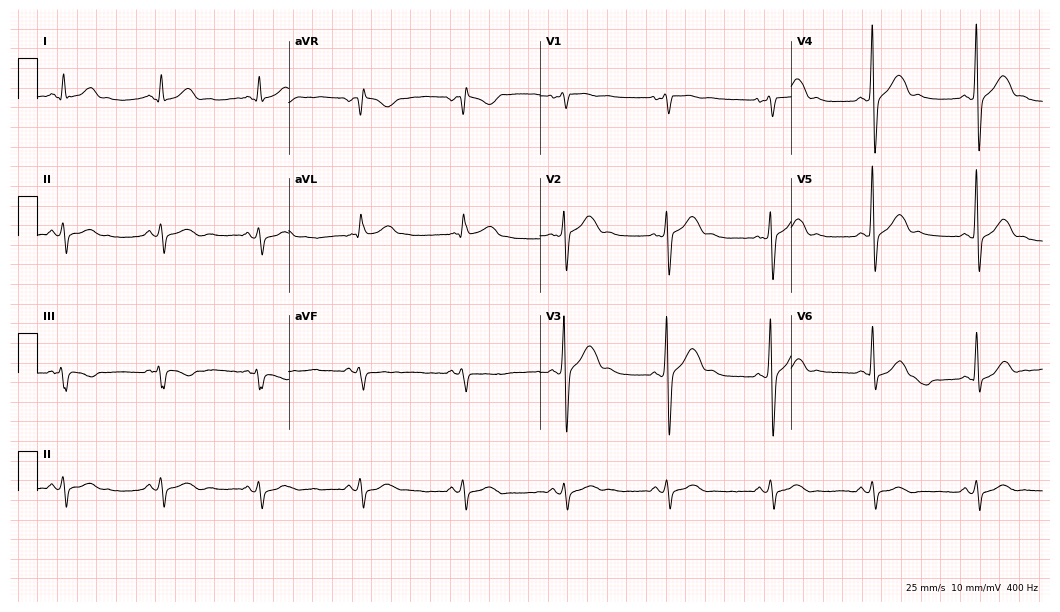
Resting 12-lead electrocardiogram (10.2-second recording at 400 Hz). Patient: a 46-year-old man. None of these six findings is recorded: first-degree AV block, right bundle branch block, left bundle branch block, sinus bradycardia, atrial fibrillation, sinus tachycardia.